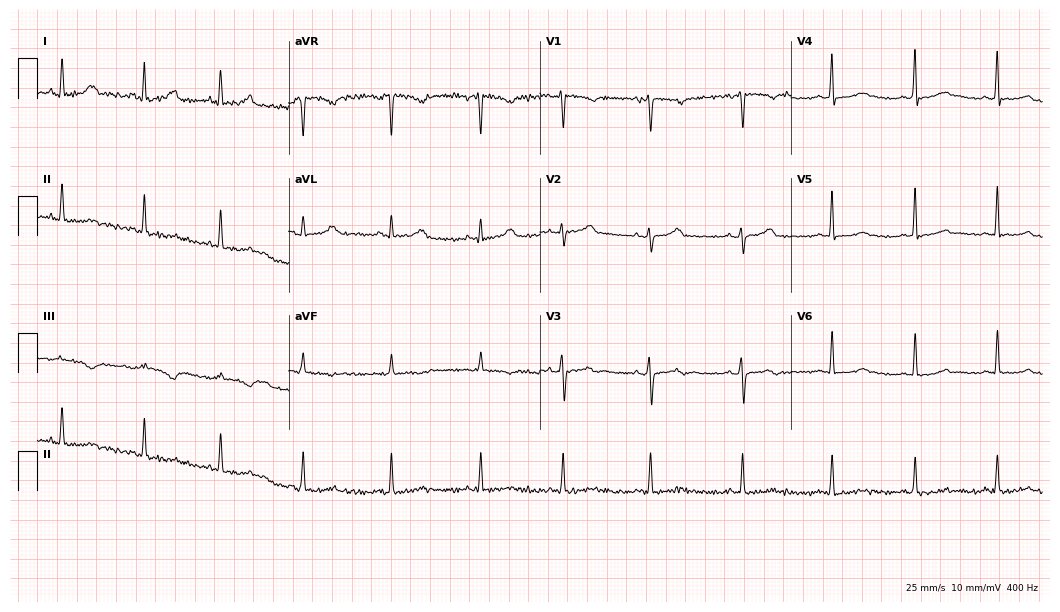
12-lead ECG from a 30-year-old female. Recorded interpretation: within normal limits.